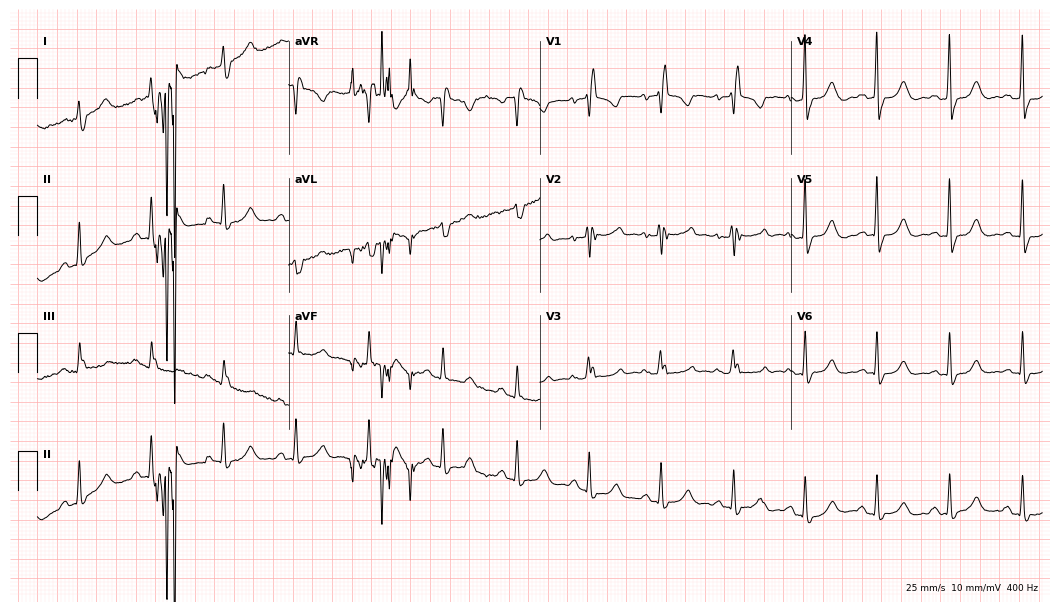
Electrocardiogram, a male, 79 years old. Interpretation includes right bundle branch block (RBBB).